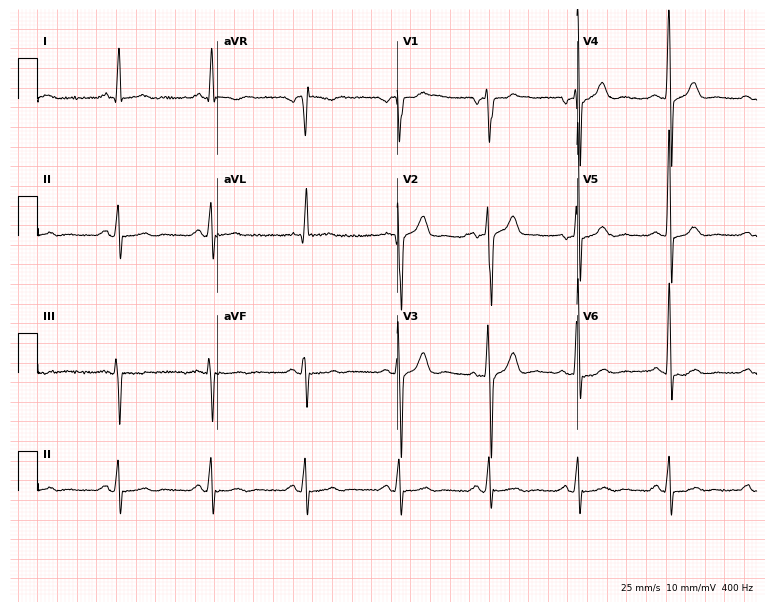
12-lead ECG (7.3-second recording at 400 Hz) from a male patient, 62 years old. Labelled as a normal ECG.